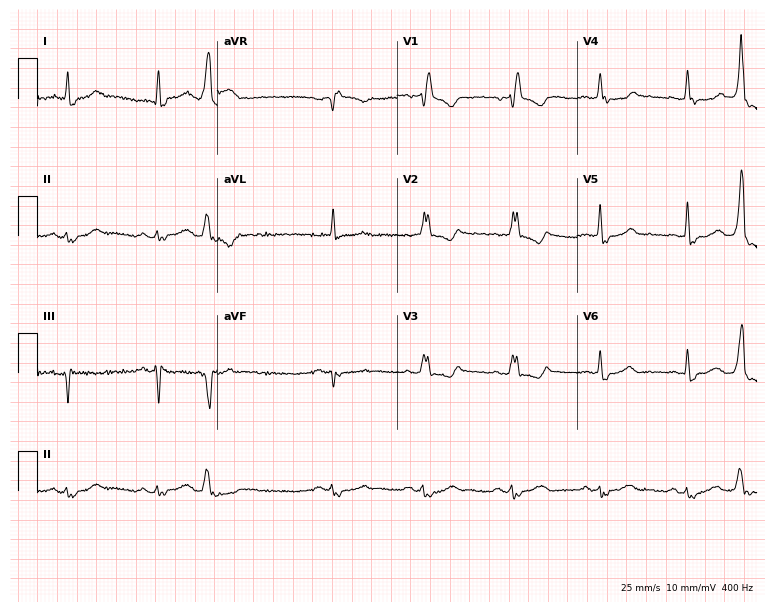
12-lead ECG from a male, 83 years old. Shows right bundle branch block.